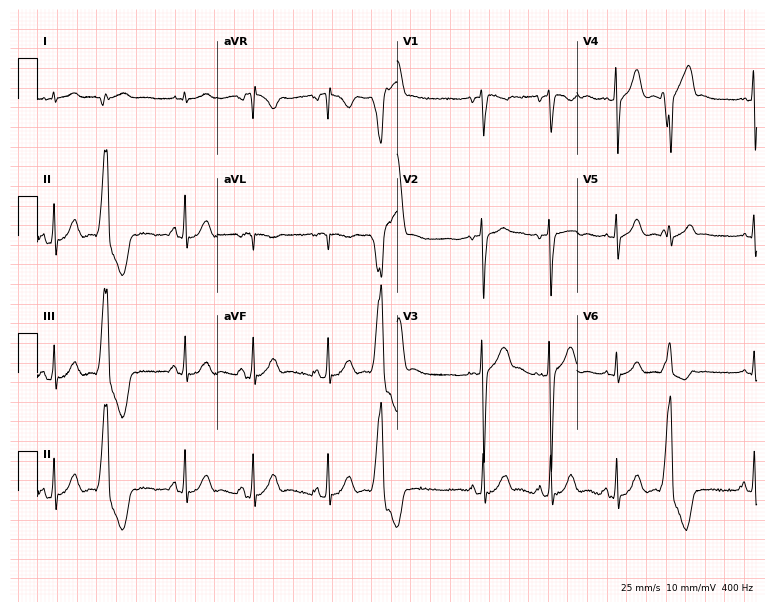
Resting 12-lead electrocardiogram (7.3-second recording at 400 Hz). Patient: a male, 17 years old. None of these six findings is recorded: first-degree AV block, right bundle branch block, left bundle branch block, sinus bradycardia, atrial fibrillation, sinus tachycardia.